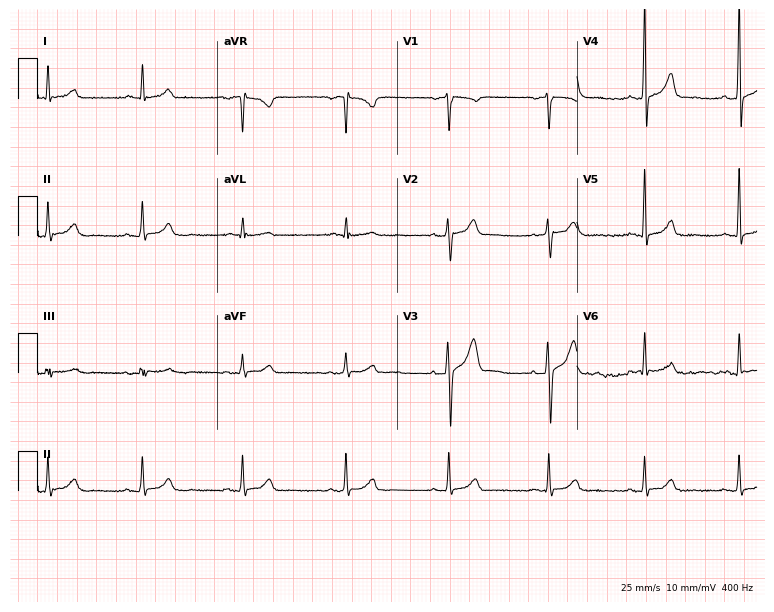
Standard 12-lead ECG recorded from a 47-year-old male patient (7.3-second recording at 400 Hz). Read as a normal ECG.